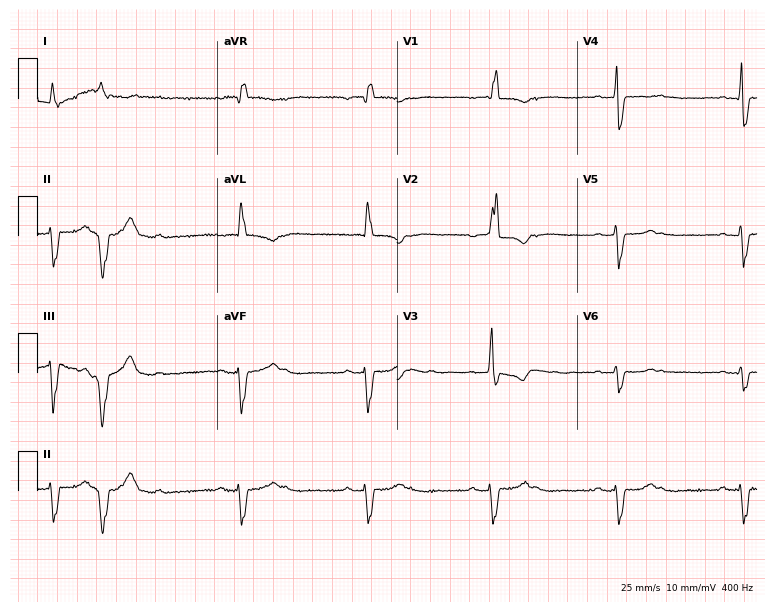
12-lead ECG from a 42-year-old woman. Shows right bundle branch block, sinus bradycardia (a sinus rate of 50 beats per minute or less).